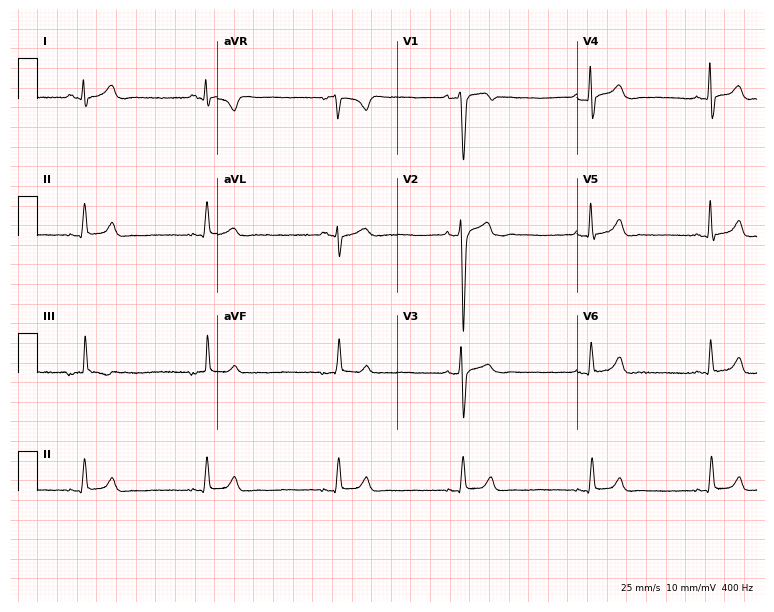
12-lead ECG (7.3-second recording at 400 Hz) from a male patient, 30 years old. Findings include sinus bradycardia (a sinus rate of 50 beats per minute or less).